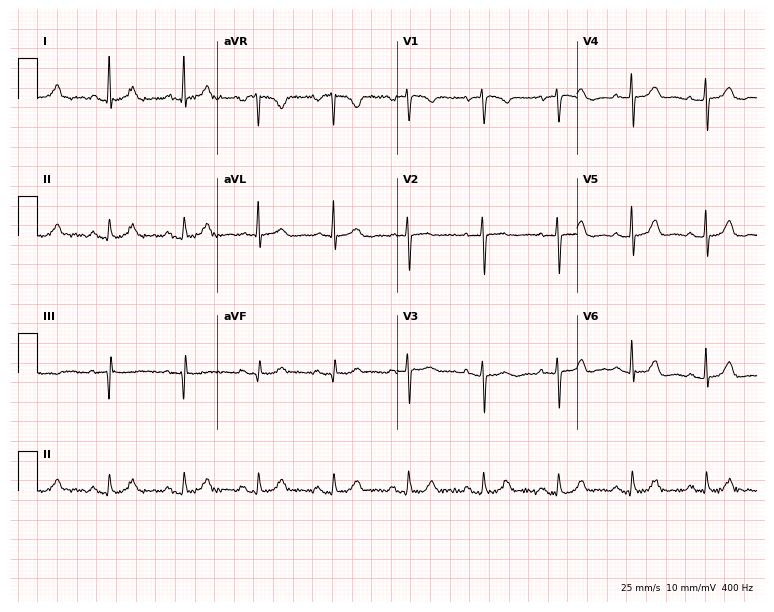
ECG — a woman, 75 years old. Labelled as a normal ECG.